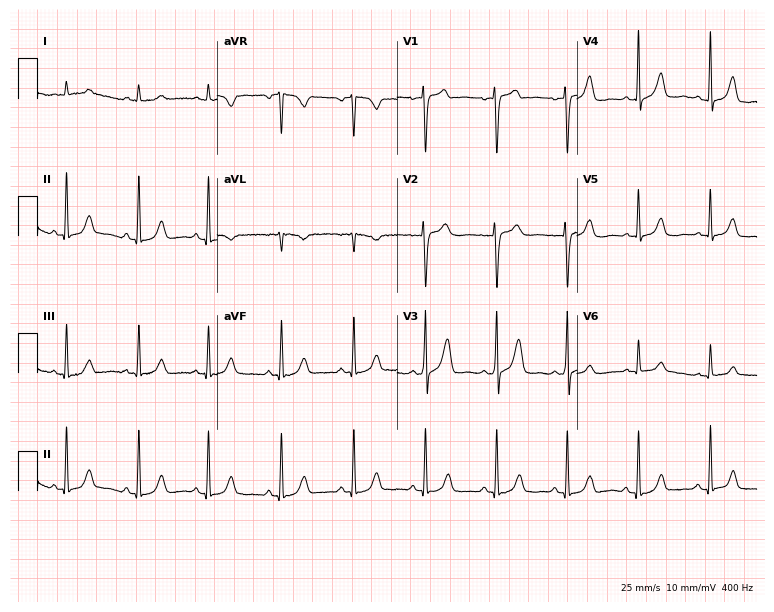
Electrocardiogram, a female patient, 29 years old. Overall reading on record: normal ECG.